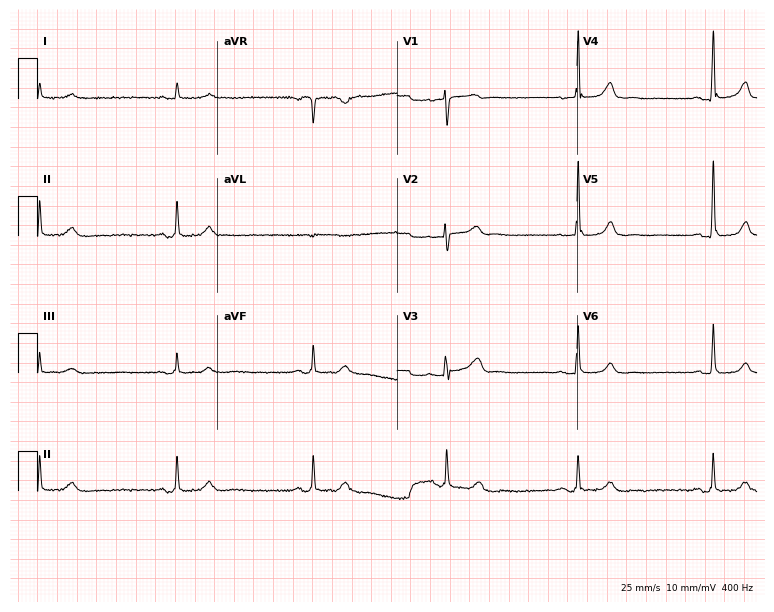
Standard 12-lead ECG recorded from a 74-year-old man (7.3-second recording at 400 Hz). The tracing shows sinus bradycardia (a sinus rate of 50 beats per minute or less).